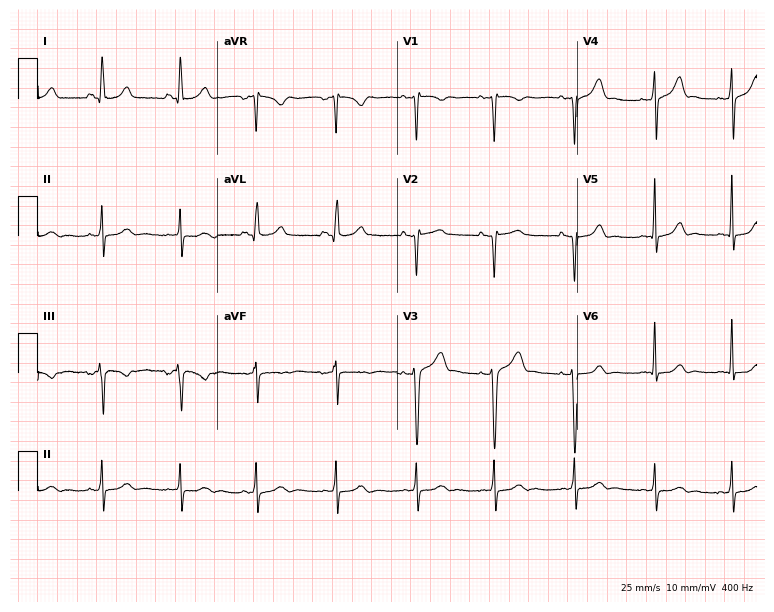
12-lead ECG from a woman, 19 years old. Screened for six findings — first-degree AV block, right bundle branch block, left bundle branch block, sinus bradycardia, atrial fibrillation, sinus tachycardia — none is recorded.